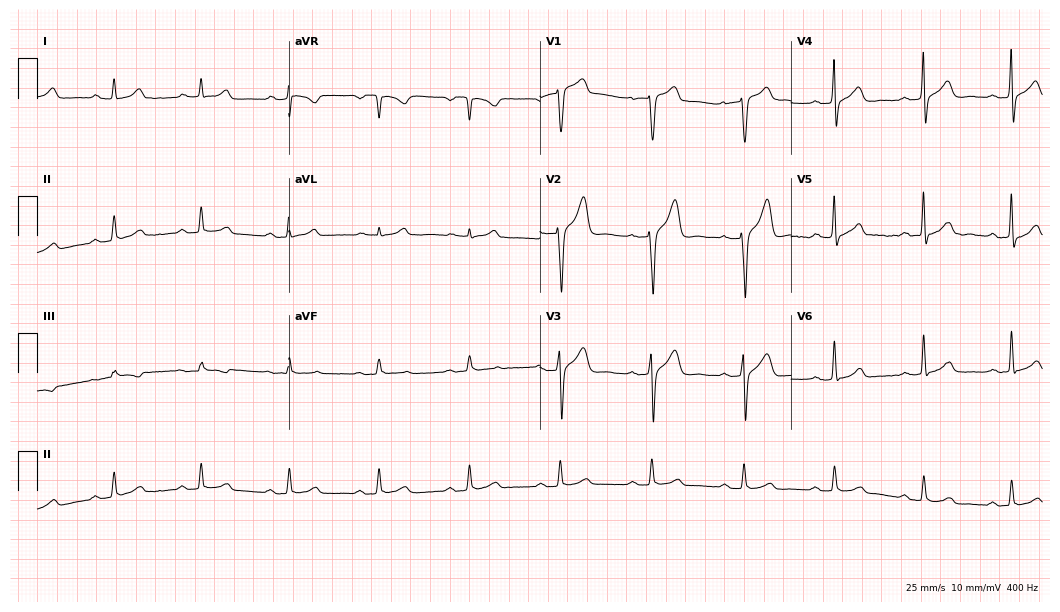
Resting 12-lead electrocardiogram. Patient: a 45-year-old man. Read as a normal ECG.